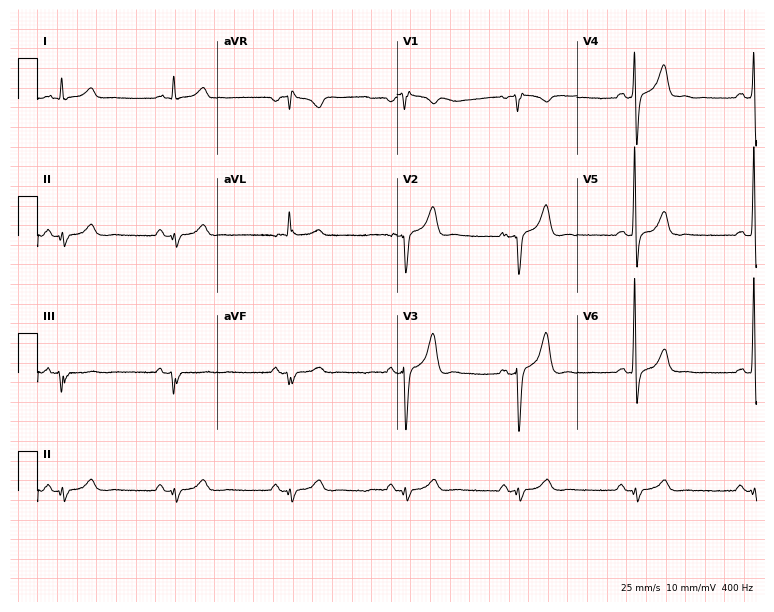
Resting 12-lead electrocardiogram. Patient: a male, 60 years old. None of these six findings is recorded: first-degree AV block, right bundle branch block (RBBB), left bundle branch block (LBBB), sinus bradycardia, atrial fibrillation (AF), sinus tachycardia. Only these six findings were labelled.